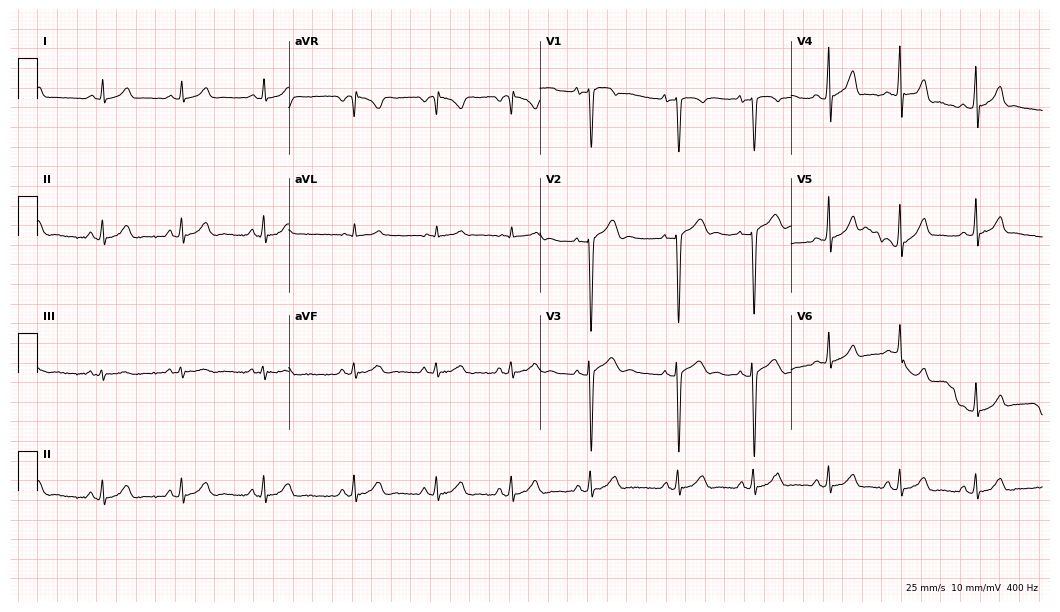
12-lead ECG from a male patient, 23 years old (10.2-second recording at 400 Hz). No first-degree AV block, right bundle branch block (RBBB), left bundle branch block (LBBB), sinus bradycardia, atrial fibrillation (AF) or sinus tachycardia recorded for this tracing. Findings outside these six are not listed.